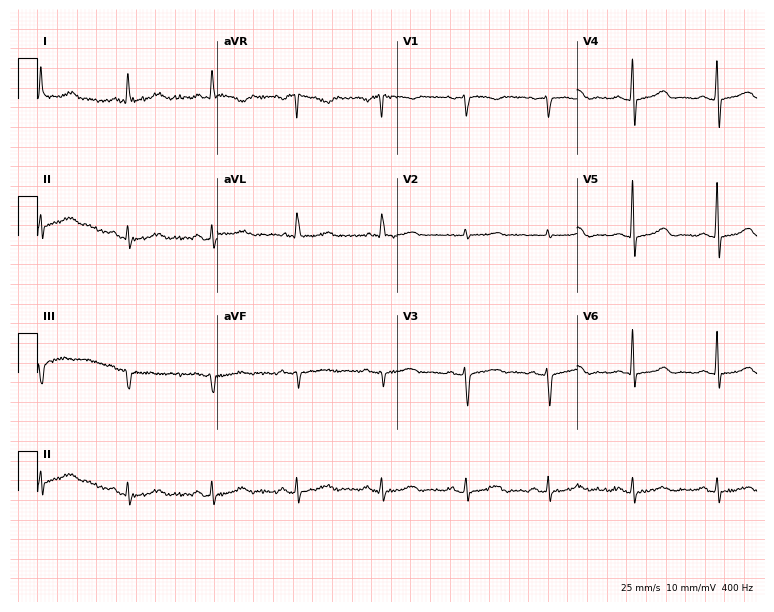
12-lead ECG from a 68-year-old female. Recorded interpretation: within normal limits.